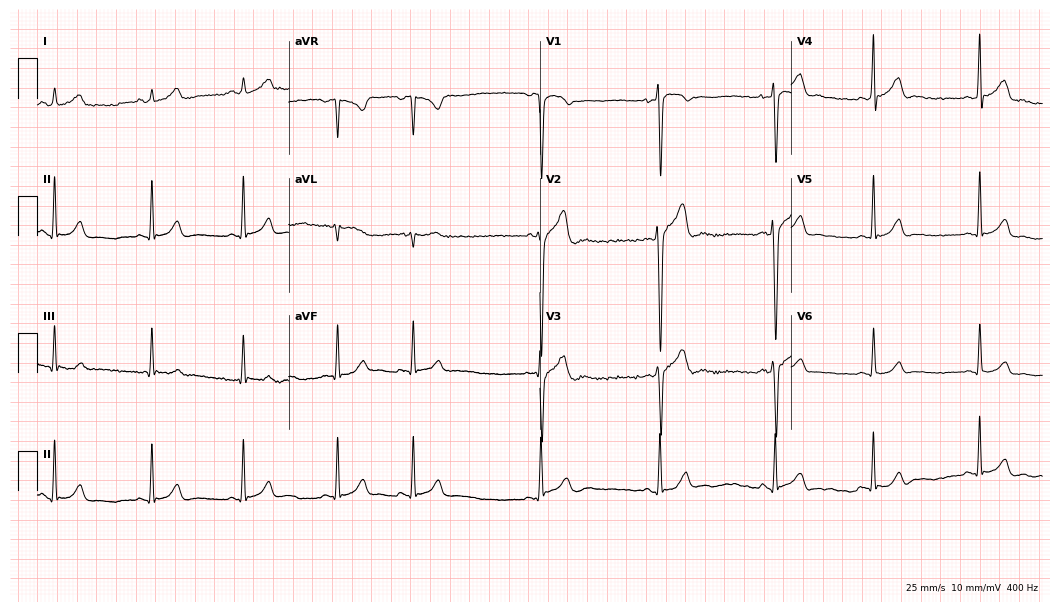
Resting 12-lead electrocardiogram (10.2-second recording at 400 Hz). Patient: a male, 18 years old. Read as a normal ECG.